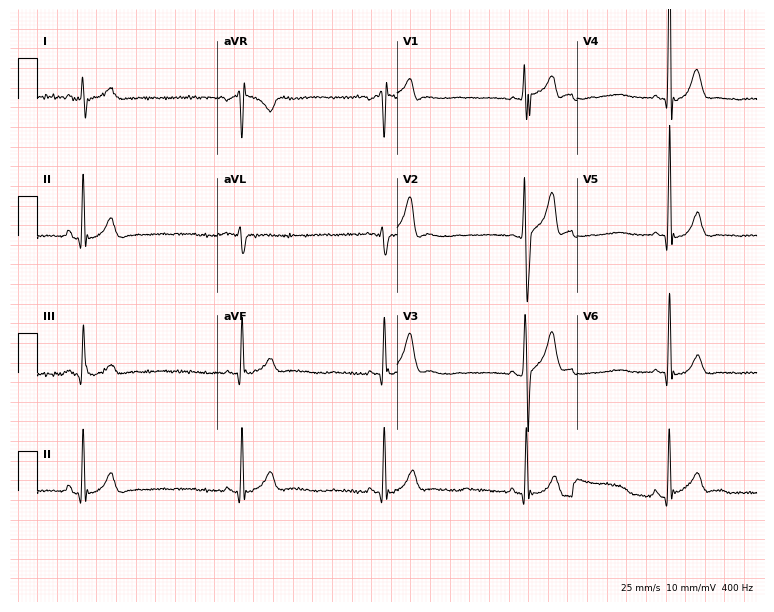
12-lead ECG from a 23-year-old male patient (7.3-second recording at 400 Hz). No first-degree AV block, right bundle branch block (RBBB), left bundle branch block (LBBB), sinus bradycardia, atrial fibrillation (AF) or sinus tachycardia recorded for this tracing. Findings outside these six are not listed.